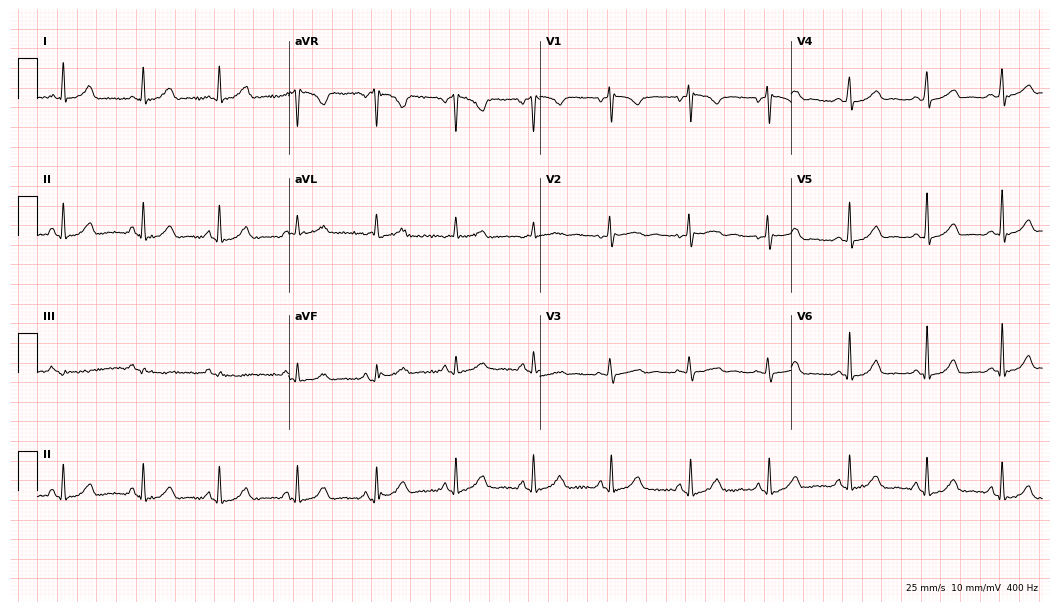
12-lead ECG from a 39-year-old woman. Recorded interpretation: within normal limits.